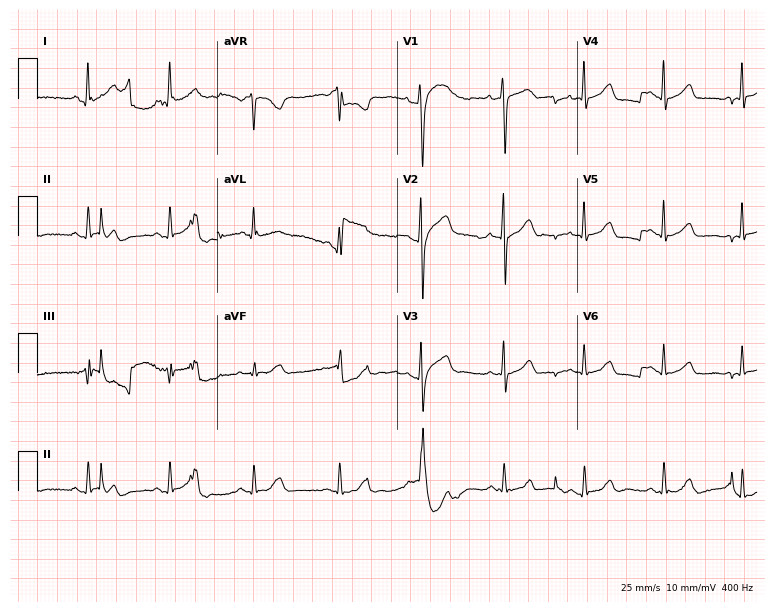
ECG (7.3-second recording at 400 Hz) — a 34-year-old female patient. Labelled as a normal ECG.